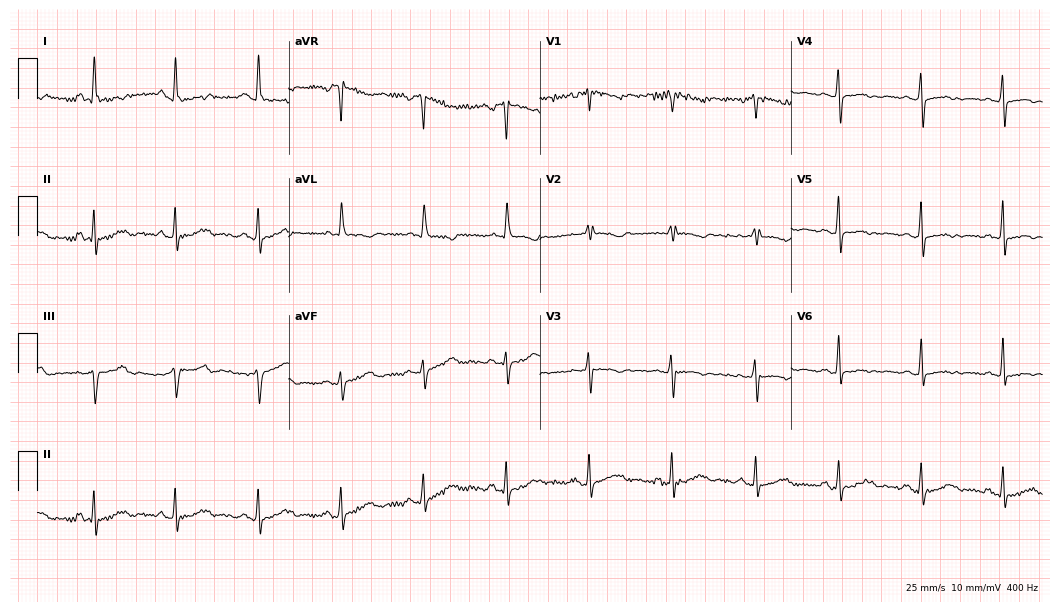
Resting 12-lead electrocardiogram (10.2-second recording at 400 Hz). Patient: a female, 65 years old. None of these six findings is recorded: first-degree AV block, right bundle branch block, left bundle branch block, sinus bradycardia, atrial fibrillation, sinus tachycardia.